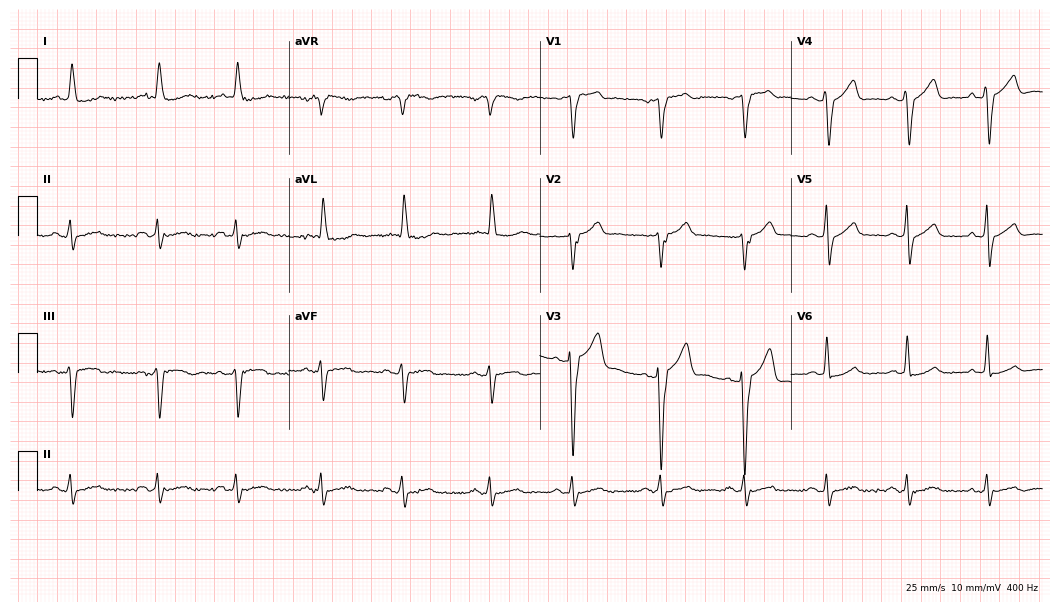
Standard 12-lead ECG recorded from an 80-year-old male patient. None of these six findings is recorded: first-degree AV block, right bundle branch block (RBBB), left bundle branch block (LBBB), sinus bradycardia, atrial fibrillation (AF), sinus tachycardia. Other findings, if any, are not listed.